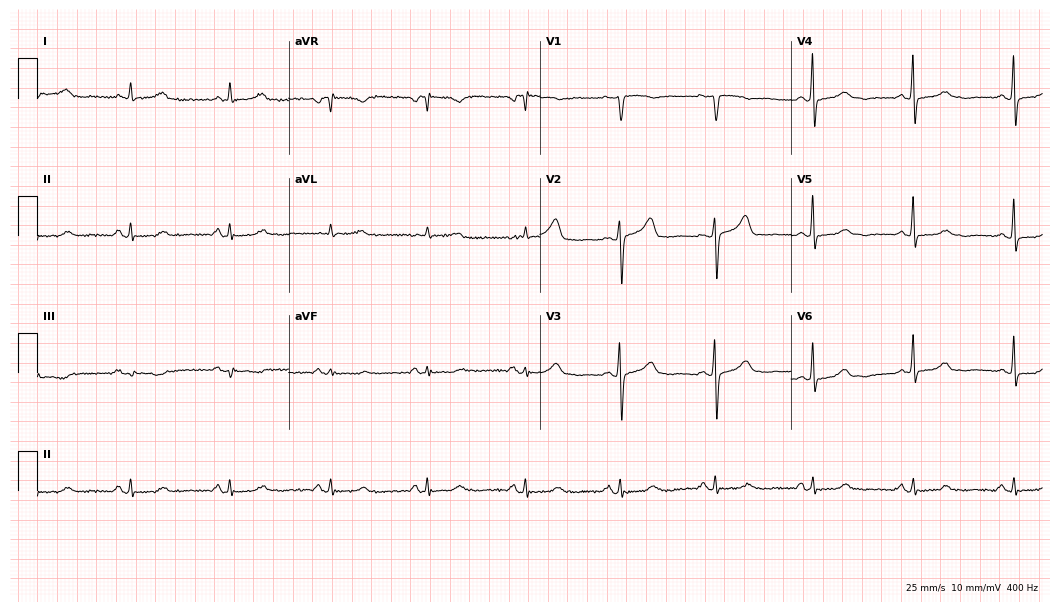
12-lead ECG from a female patient, 62 years old (10.2-second recording at 400 Hz). Recorded interpretation: within normal limits.